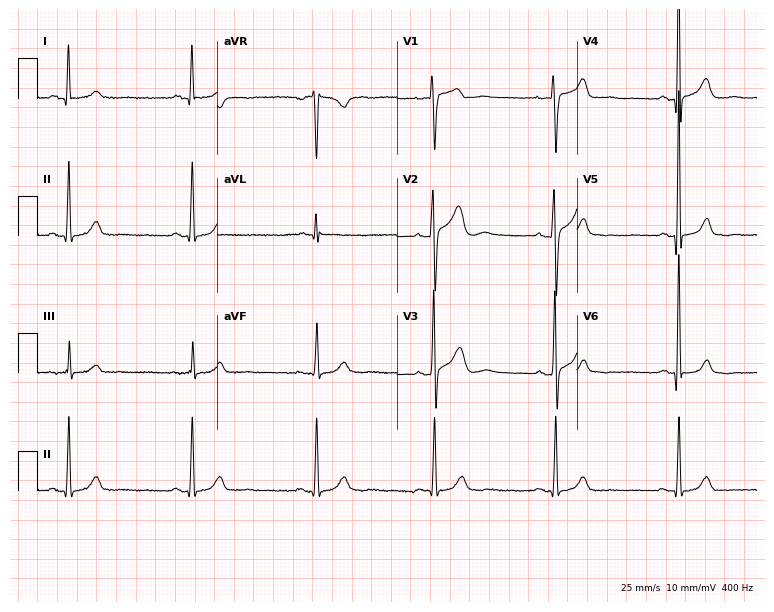
12-lead ECG (7.3-second recording at 400 Hz) from a 61-year-old male. Findings include sinus bradycardia (a sinus rate of 50 beats per minute or less).